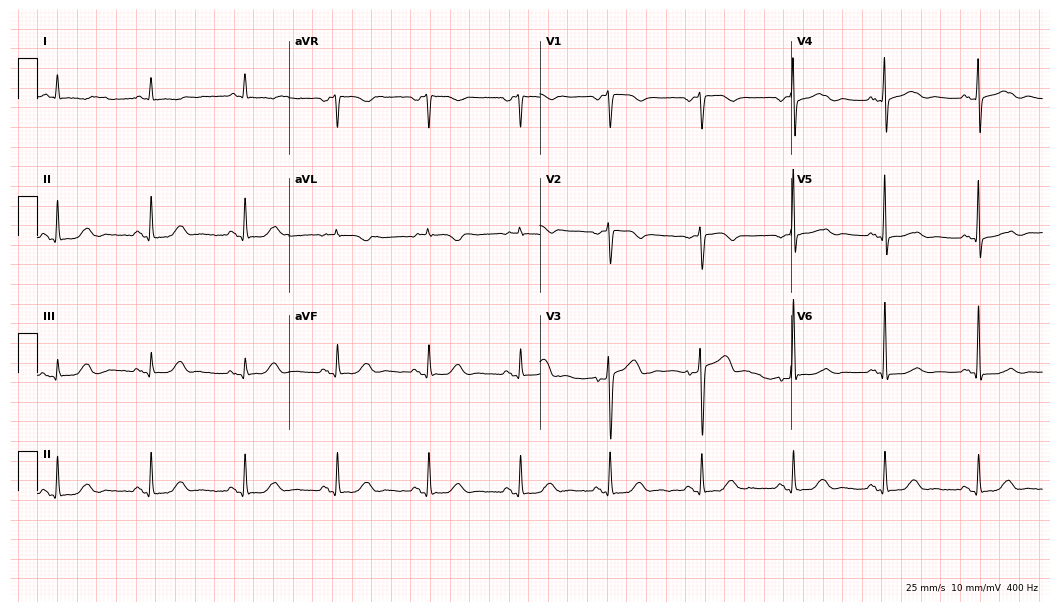
Standard 12-lead ECG recorded from a female patient, 83 years old (10.2-second recording at 400 Hz). None of these six findings is recorded: first-degree AV block, right bundle branch block, left bundle branch block, sinus bradycardia, atrial fibrillation, sinus tachycardia.